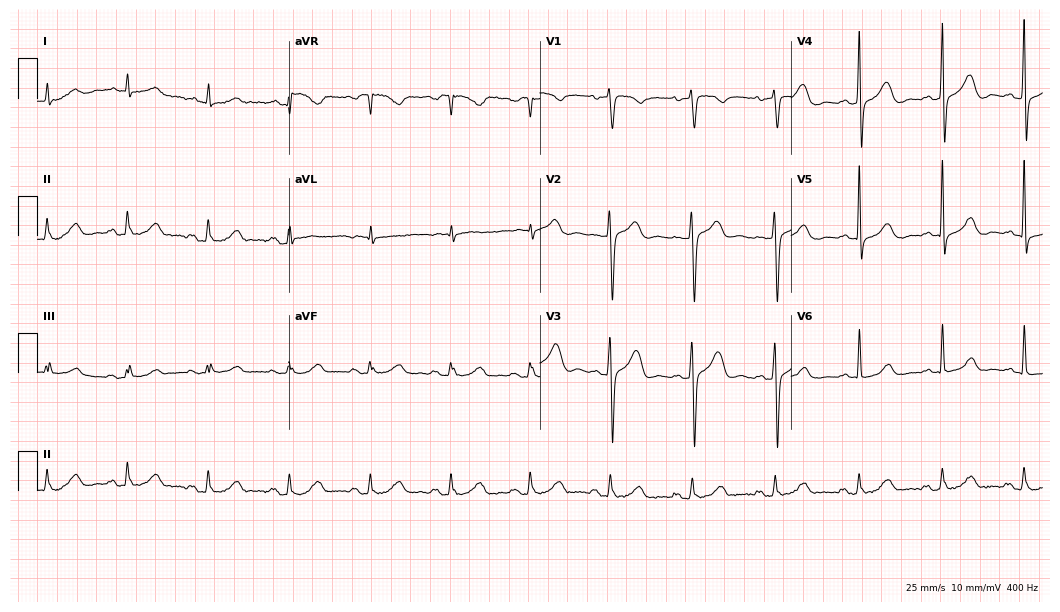
Electrocardiogram (10.2-second recording at 400 Hz), a female, 71 years old. Overall reading on record: normal ECG.